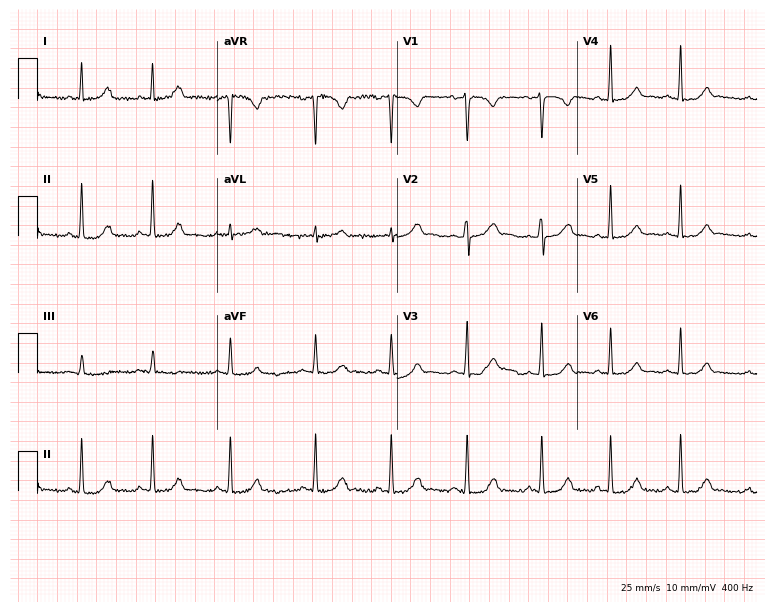
ECG (7.3-second recording at 400 Hz) — a female patient, 23 years old. Screened for six findings — first-degree AV block, right bundle branch block (RBBB), left bundle branch block (LBBB), sinus bradycardia, atrial fibrillation (AF), sinus tachycardia — none is recorded.